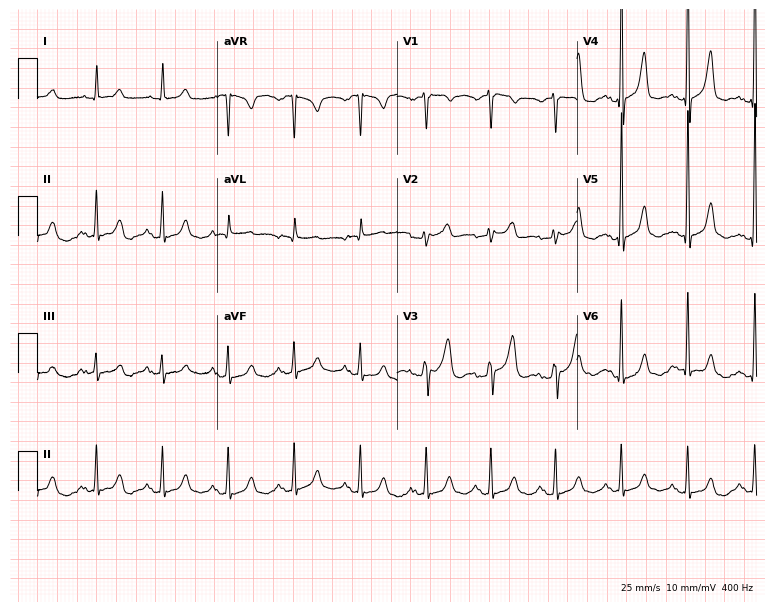
Resting 12-lead electrocardiogram. Patient: a man, 63 years old. Read as a normal ECG.